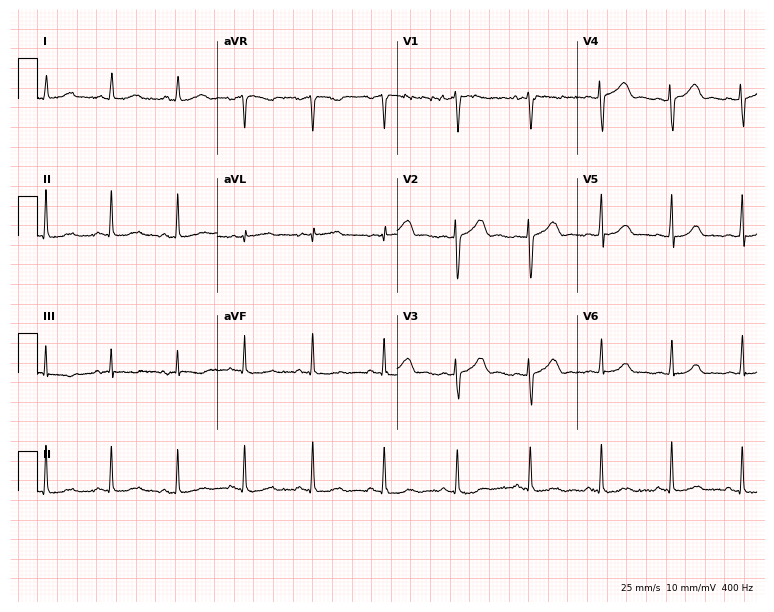
ECG — a 35-year-old female. Labelled as a normal ECG.